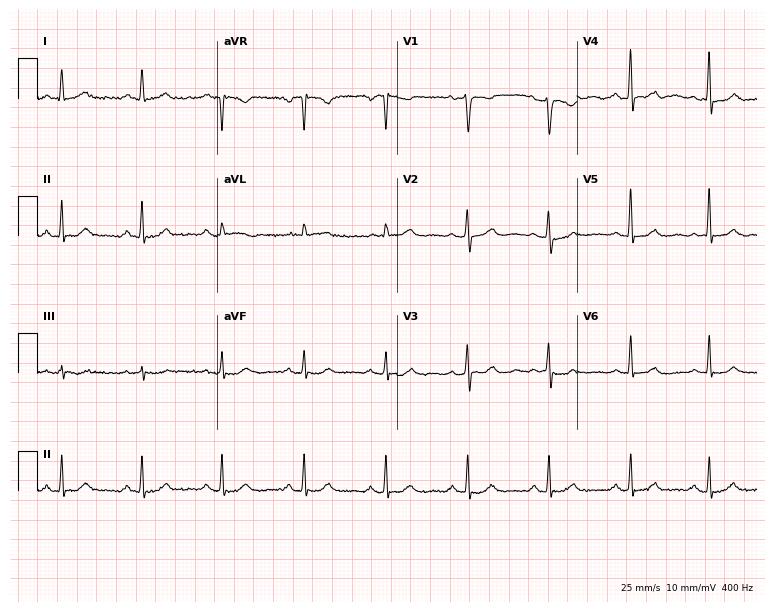
12-lead ECG from a female patient, 65 years old (7.3-second recording at 400 Hz). No first-degree AV block, right bundle branch block (RBBB), left bundle branch block (LBBB), sinus bradycardia, atrial fibrillation (AF) or sinus tachycardia recorded for this tracing. Other findings, if any, are not listed.